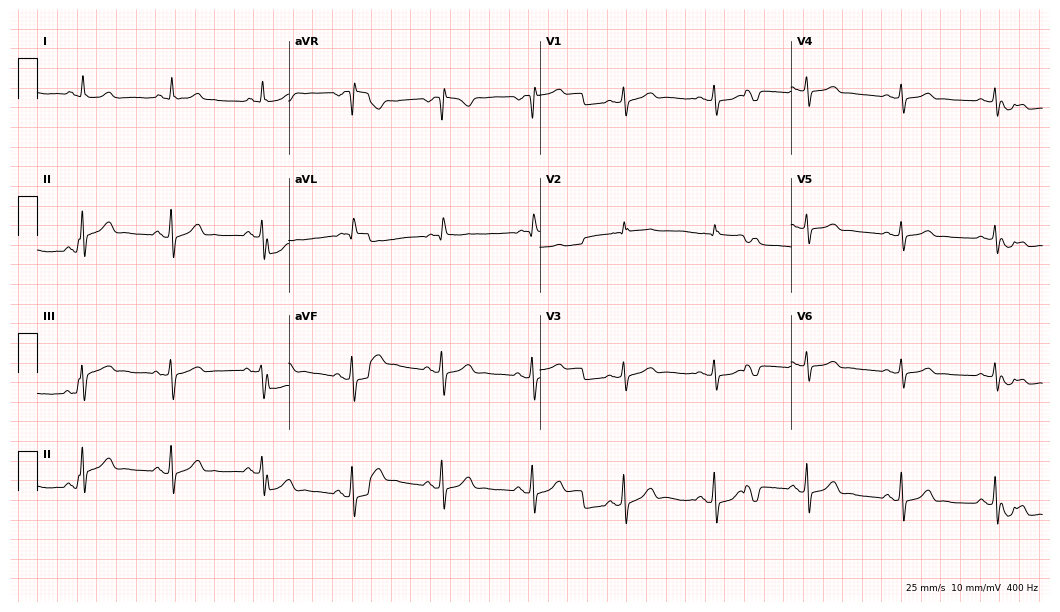
12-lead ECG (10.2-second recording at 400 Hz) from a male patient, 52 years old. Labelled as a normal ECG.